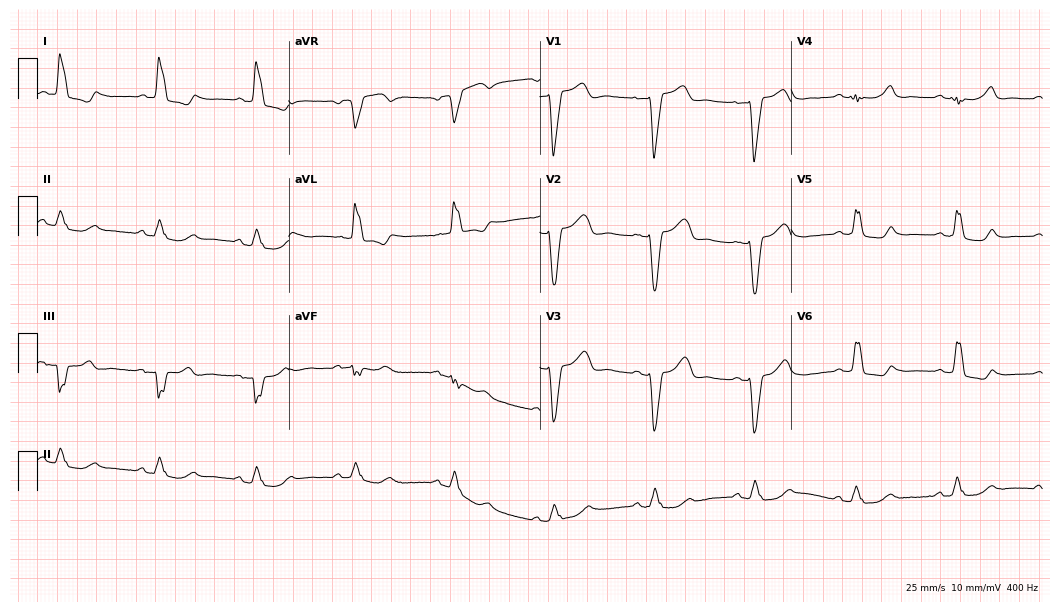
Standard 12-lead ECG recorded from a woman, 77 years old (10.2-second recording at 400 Hz). The tracing shows left bundle branch block.